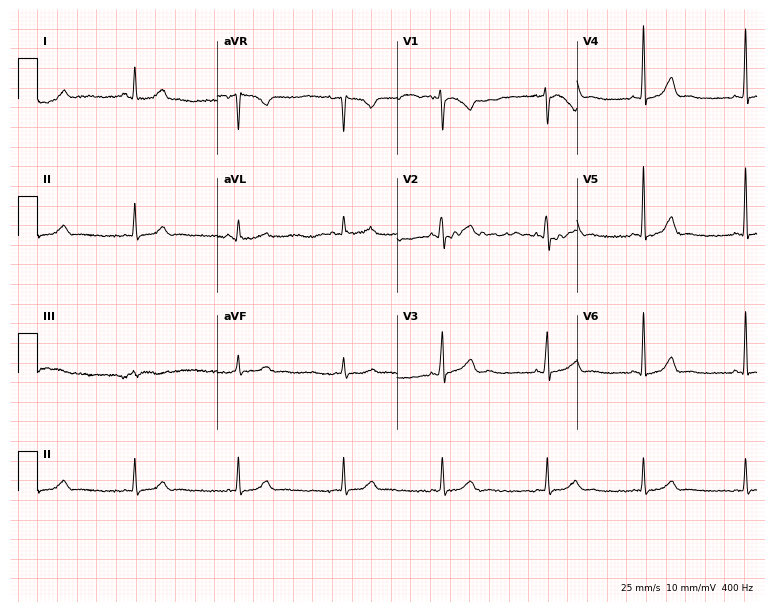
ECG (7.3-second recording at 400 Hz) — a 24-year-old female patient. Screened for six findings — first-degree AV block, right bundle branch block, left bundle branch block, sinus bradycardia, atrial fibrillation, sinus tachycardia — none is recorded. Only these six findings were labelled.